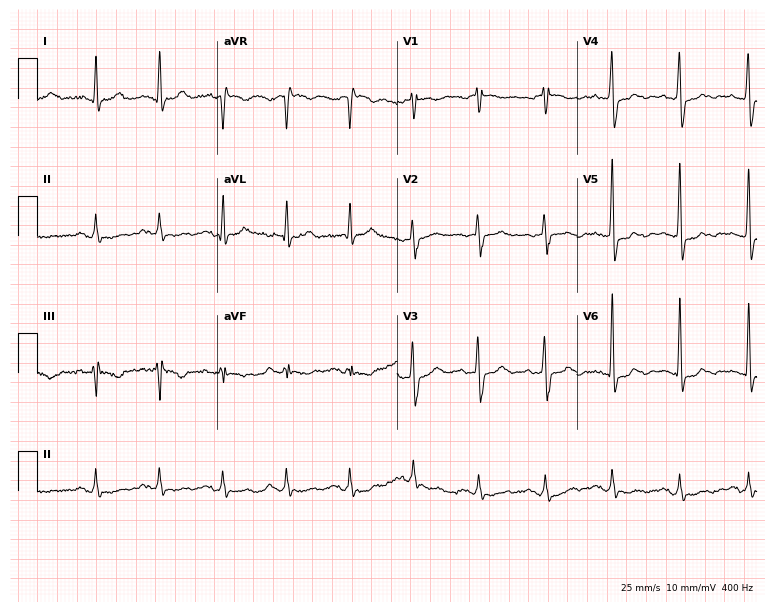
ECG — a woman, 78 years old. Screened for six findings — first-degree AV block, right bundle branch block (RBBB), left bundle branch block (LBBB), sinus bradycardia, atrial fibrillation (AF), sinus tachycardia — none is recorded.